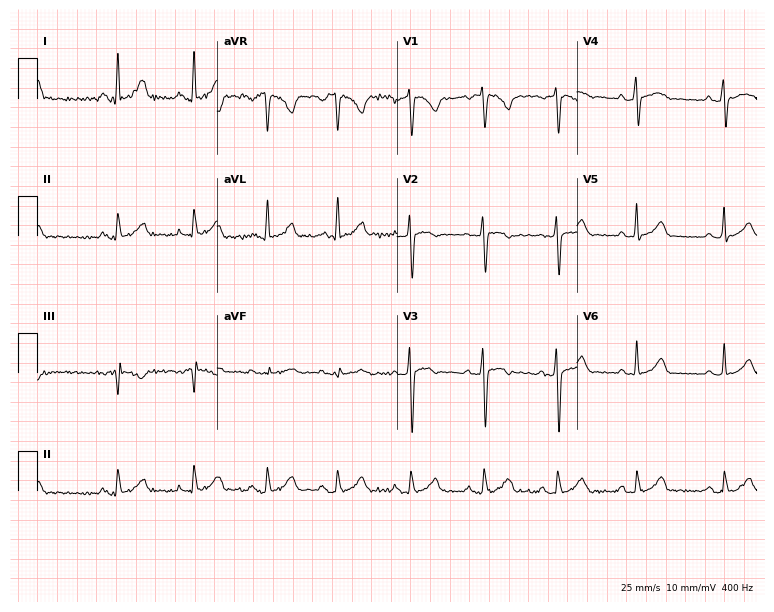
12-lead ECG (7.3-second recording at 400 Hz) from a female, 24 years old. Screened for six findings — first-degree AV block, right bundle branch block, left bundle branch block, sinus bradycardia, atrial fibrillation, sinus tachycardia — none is recorded. Only these six findings were labelled.